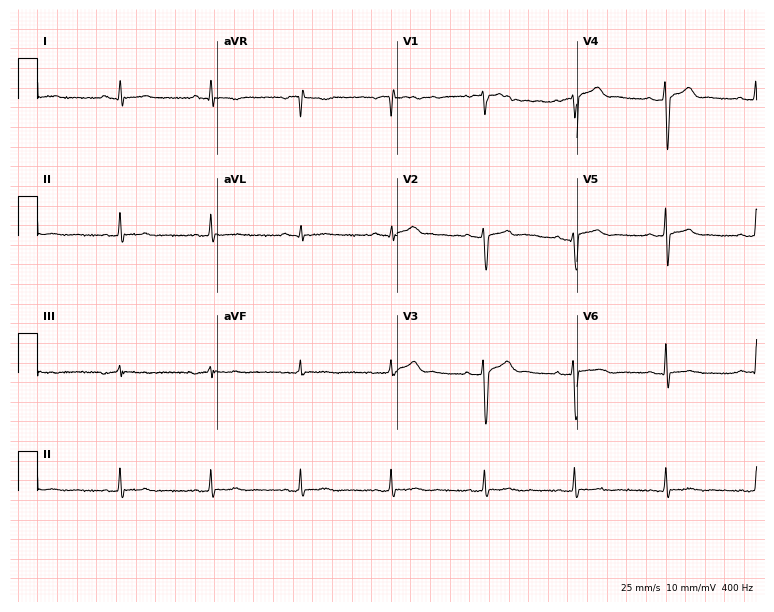
12-lead ECG from a male patient, 40 years old. Screened for six findings — first-degree AV block, right bundle branch block (RBBB), left bundle branch block (LBBB), sinus bradycardia, atrial fibrillation (AF), sinus tachycardia — none is recorded. Findings outside these six are not listed.